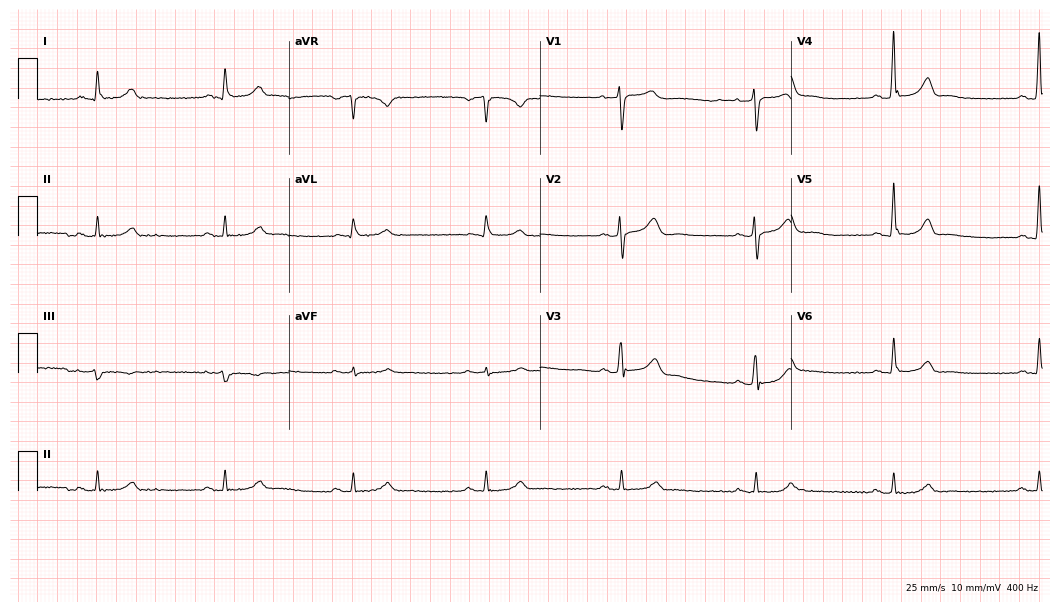
12-lead ECG from a male, 65 years old (10.2-second recording at 400 Hz). Shows sinus bradycardia (a sinus rate of 50 beats per minute or less).